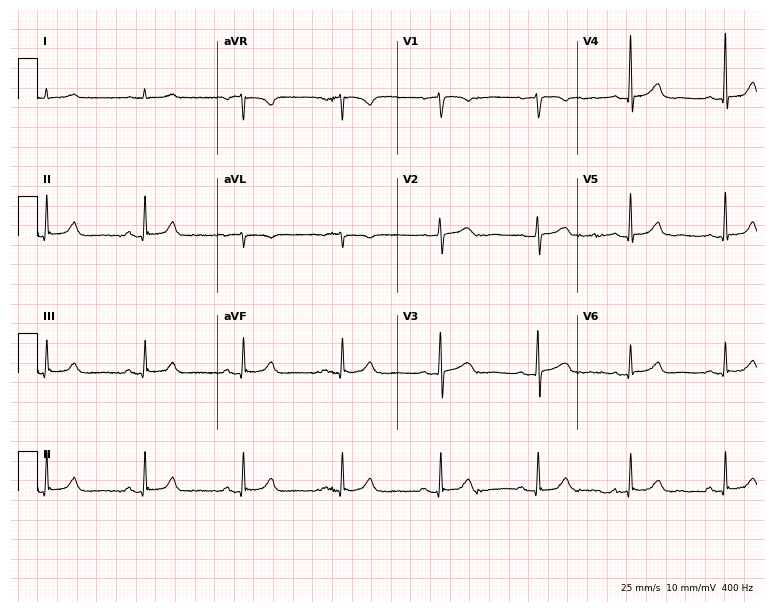
ECG (7.3-second recording at 400 Hz) — a woman, 78 years old. Screened for six findings — first-degree AV block, right bundle branch block, left bundle branch block, sinus bradycardia, atrial fibrillation, sinus tachycardia — none is recorded.